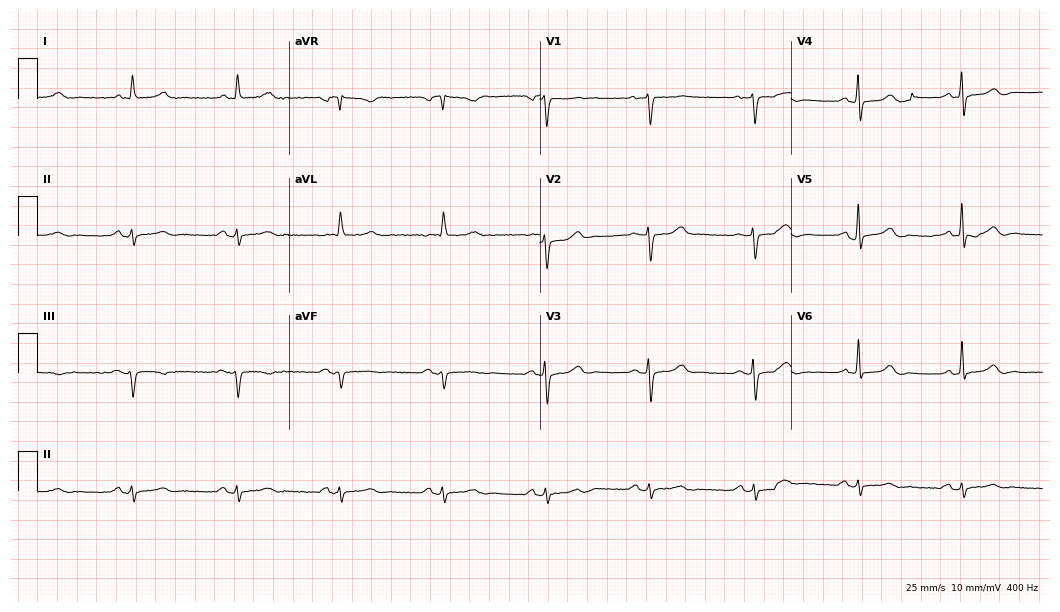
Electrocardiogram, a male patient, 80 years old. Of the six screened findings (first-degree AV block, right bundle branch block (RBBB), left bundle branch block (LBBB), sinus bradycardia, atrial fibrillation (AF), sinus tachycardia), none is recorded. Other findings, if any, are not listed.